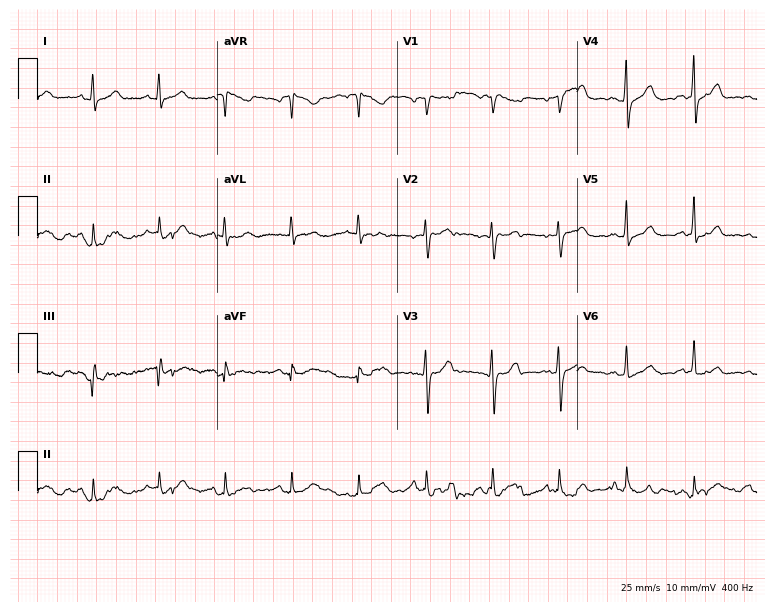
12-lead ECG (7.3-second recording at 400 Hz) from a 58-year-old male. Screened for six findings — first-degree AV block, right bundle branch block, left bundle branch block, sinus bradycardia, atrial fibrillation, sinus tachycardia — none is recorded.